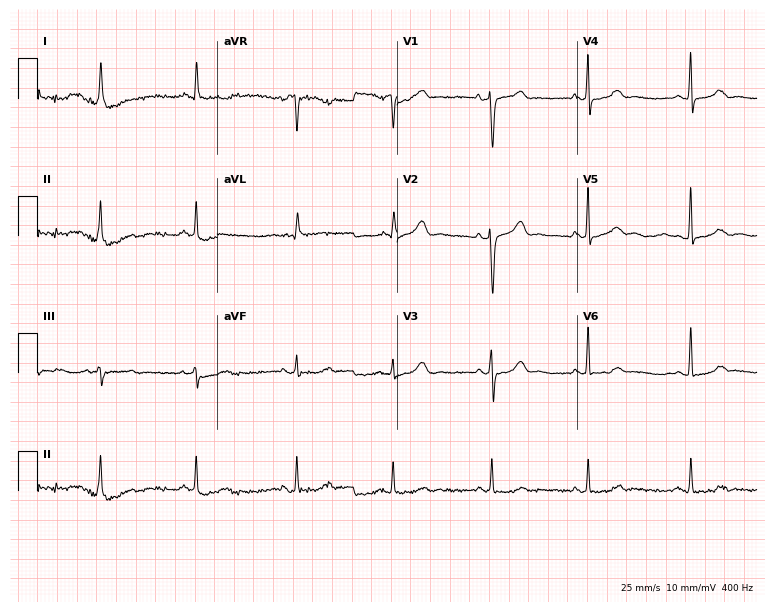
Electrocardiogram, a 57-year-old woman. Overall reading on record: normal ECG.